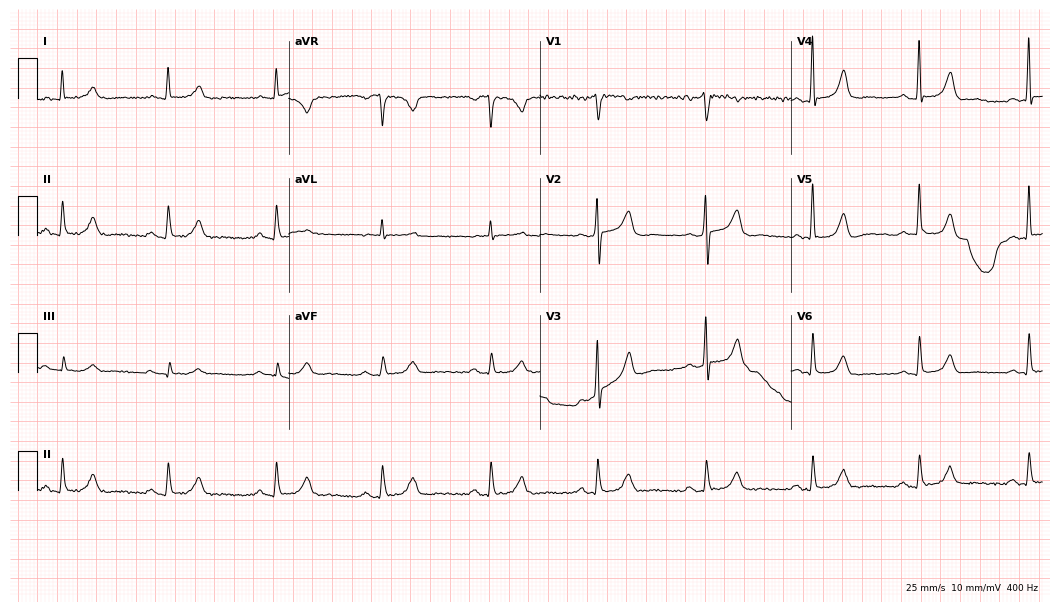
Electrocardiogram, a male patient, 67 years old. Overall reading on record: normal ECG.